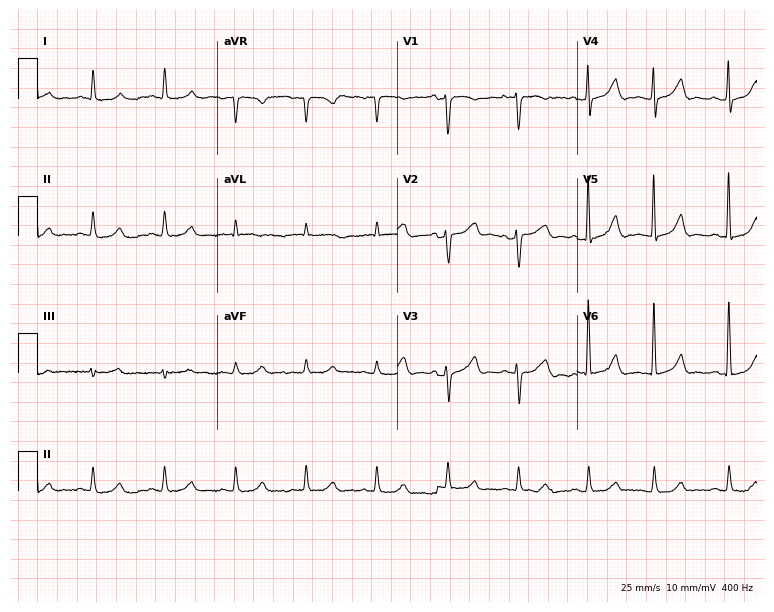
Standard 12-lead ECG recorded from an 86-year-old male patient. Read as a normal ECG.